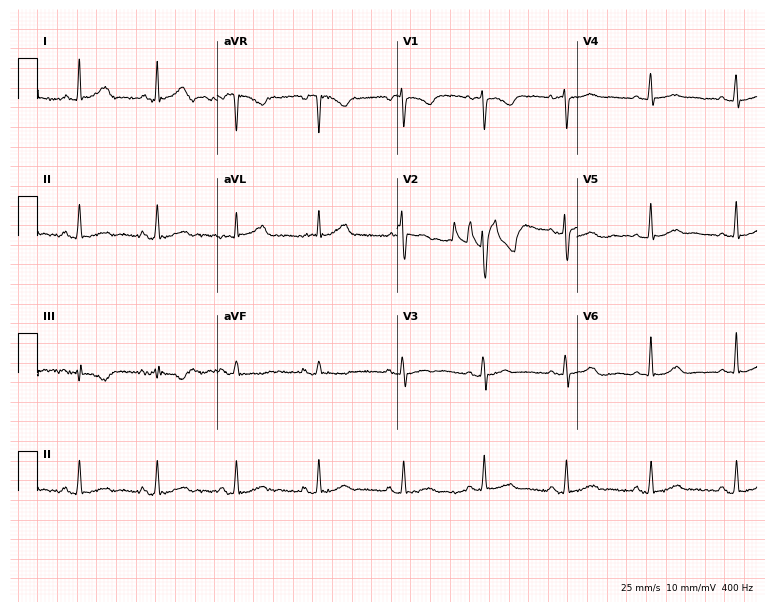
12-lead ECG (7.3-second recording at 400 Hz) from a 47-year-old female. Screened for six findings — first-degree AV block, right bundle branch block (RBBB), left bundle branch block (LBBB), sinus bradycardia, atrial fibrillation (AF), sinus tachycardia — none is recorded. Only these six findings were labelled.